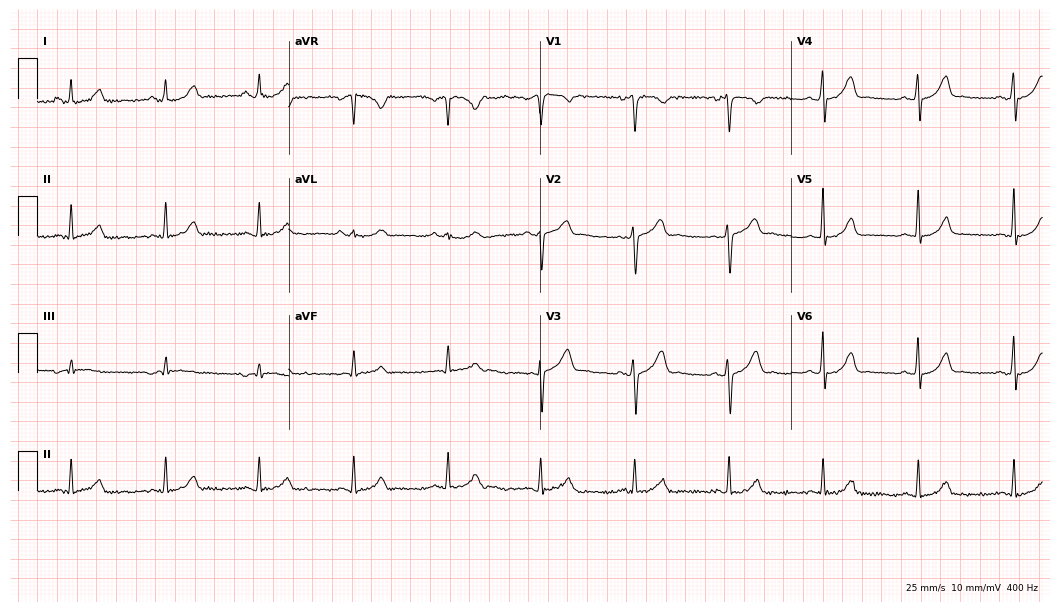
12-lead ECG (10.2-second recording at 400 Hz) from a man, 53 years old. Labelled as a normal ECG.